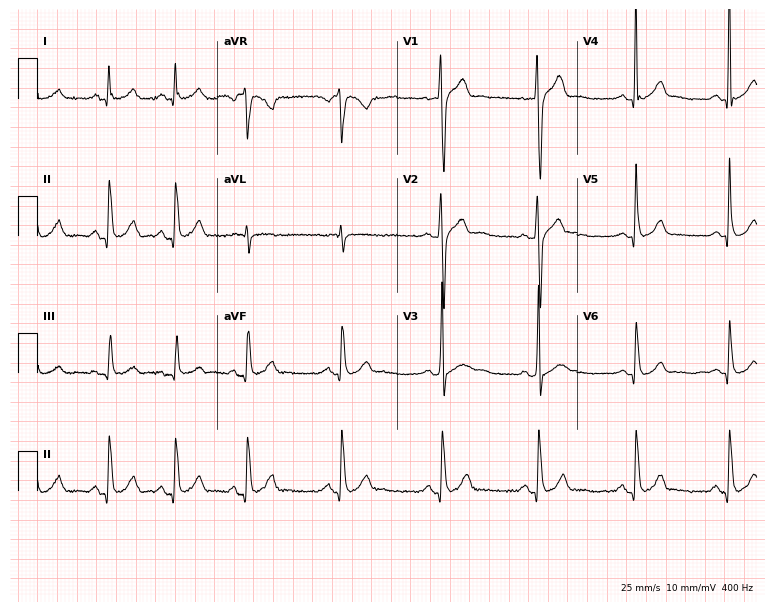
Standard 12-lead ECG recorded from a 31-year-old man (7.3-second recording at 400 Hz). Read as a normal ECG.